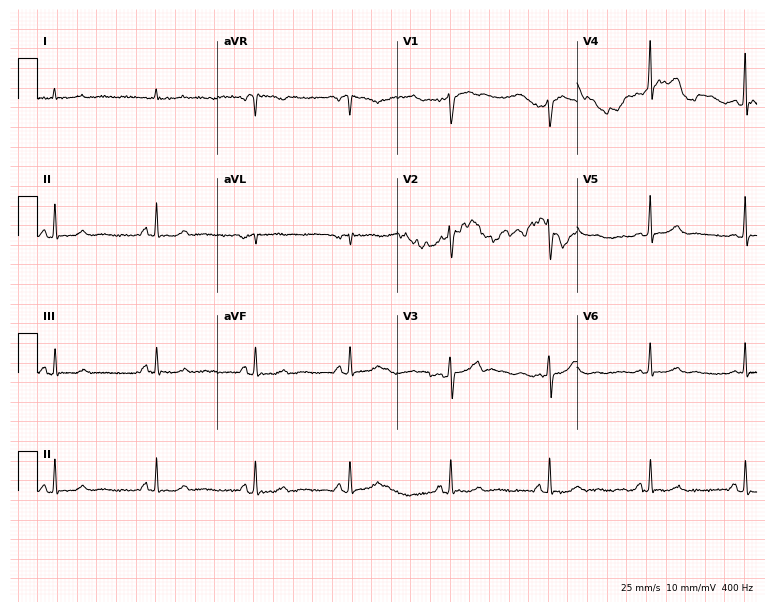
Electrocardiogram, a woman, 54 years old. Of the six screened findings (first-degree AV block, right bundle branch block, left bundle branch block, sinus bradycardia, atrial fibrillation, sinus tachycardia), none is recorded. Findings outside these six are not listed.